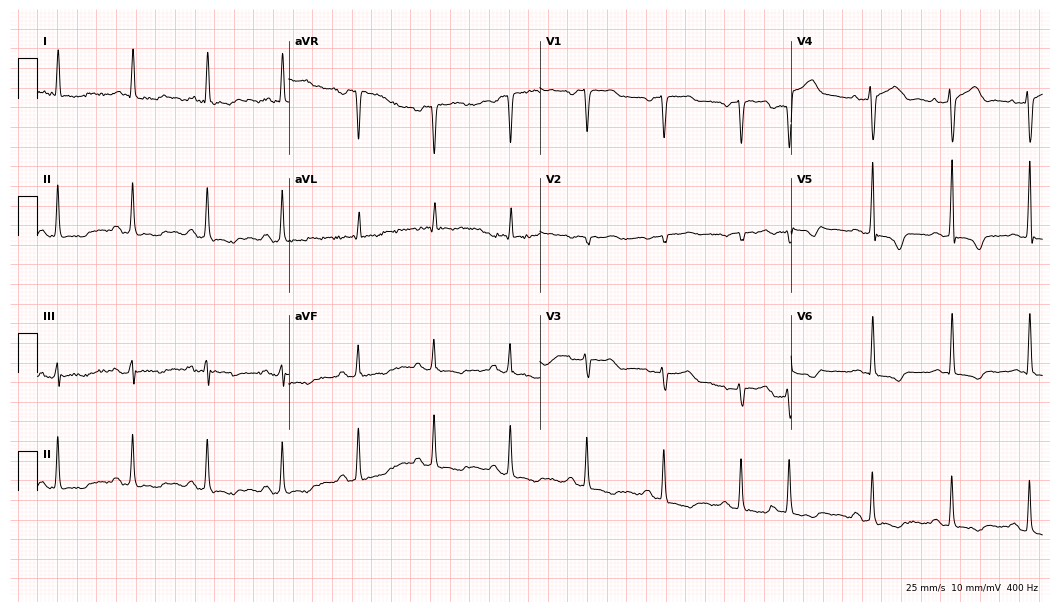
ECG — a 79-year-old female. Screened for six findings — first-degree AV block, right bundle branch block, left bundle branch block, sinus bradycardia, atrial fibrillation, sinus tachycardia — none is recorded.